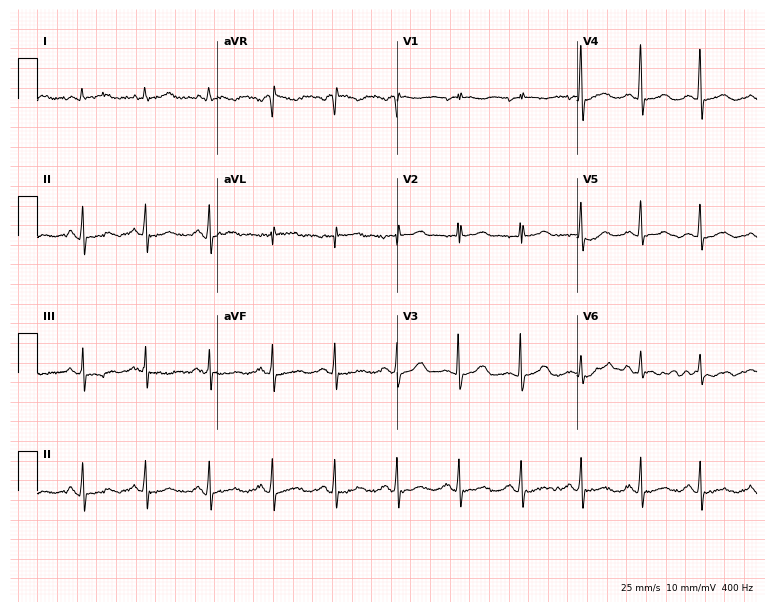
Standard 12-lead ECG recorded from a woman, 65 years old (7.3-second recording at 400 Hz). None of these six findings is recorded: first-degree AV block, right bundle branch block, left bundle branch block, sinus bradycardia, atrial fibrillation, sinus tachycardia. Only these six findings were labelled.